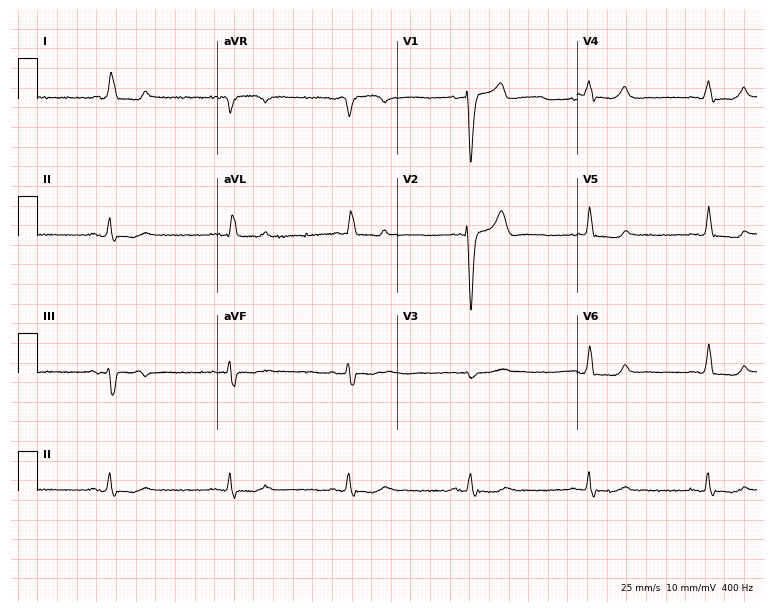
12-lead ECG from a woman, 49 years old. No first-degree AV block, right bundle branch block (RBBB), left bundle branch block (LBBB), sinus bradycardia, atrial fibrillation (AF) or sinus tachycardia recorded for this tracing.